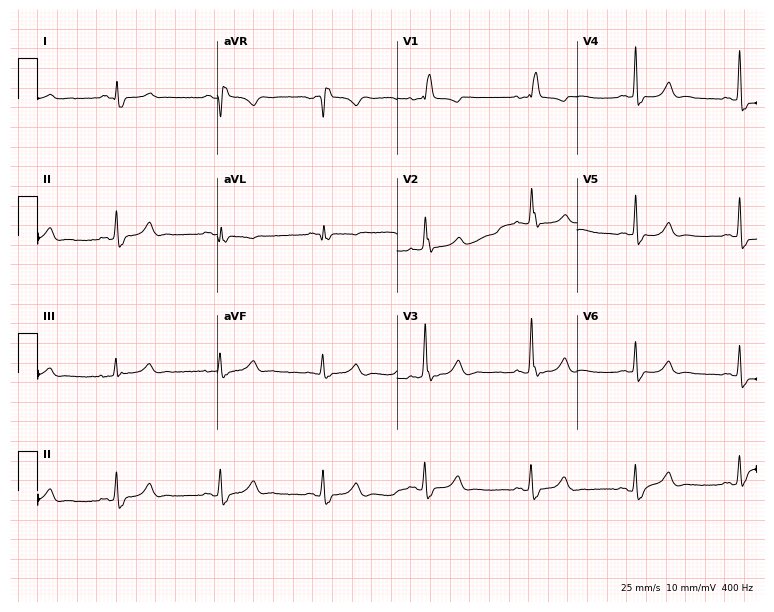
12-lead ECG from a woman, 67 years old. Shows right bundle branch block.